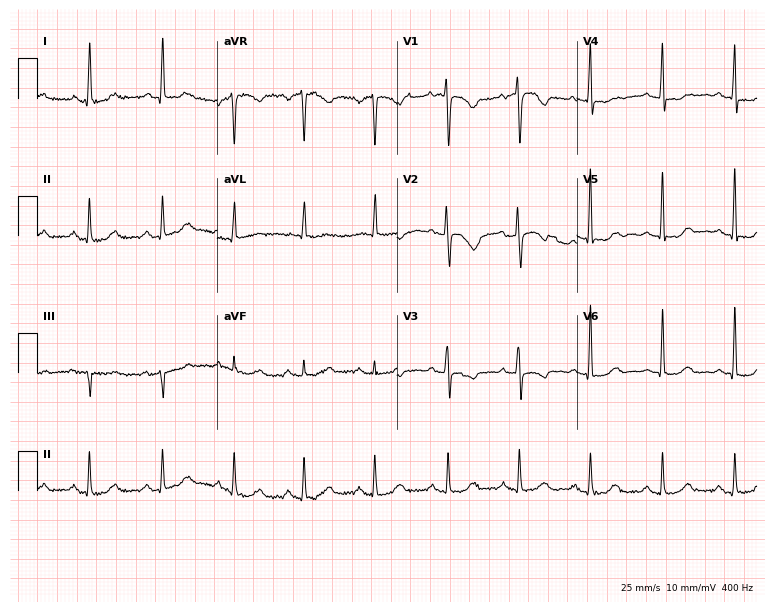
Standard 12-lead ECG recorded from a 77-year-old female patient. None of these six findings is recorded: first-degree AV block, right bundle branch block (RBBB), left bundle branch block (LBBB), sinus bradycardia, atrial fibrillation (AF), sinus tachycardia.